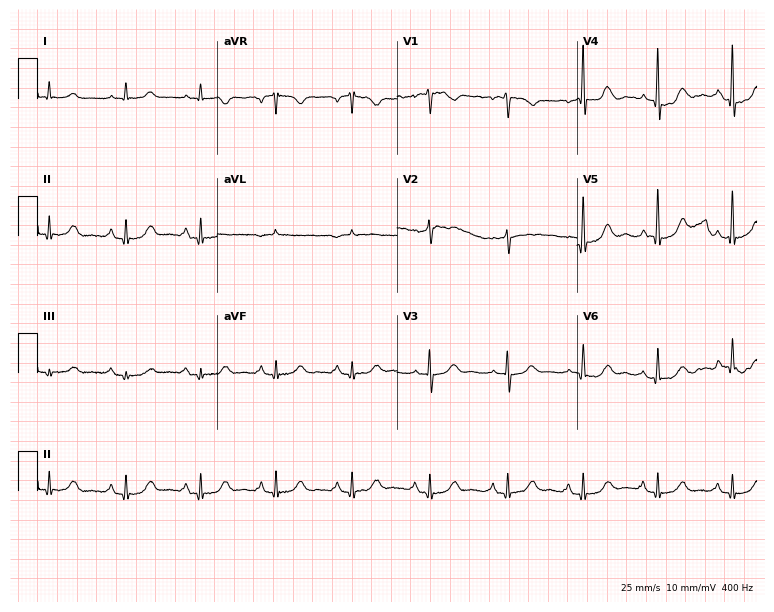
Resting 12-lead electrocardiogram (7.3-second recording at 400 Hz). Patient: a male, 76 years old. None of these six findings is recorded: first-degree AV block, right bundle branch block (RBBB), left bundle branch block (LBBB), sinus bradycardia, atrial fibrillation (AF), sinus tachycardia.